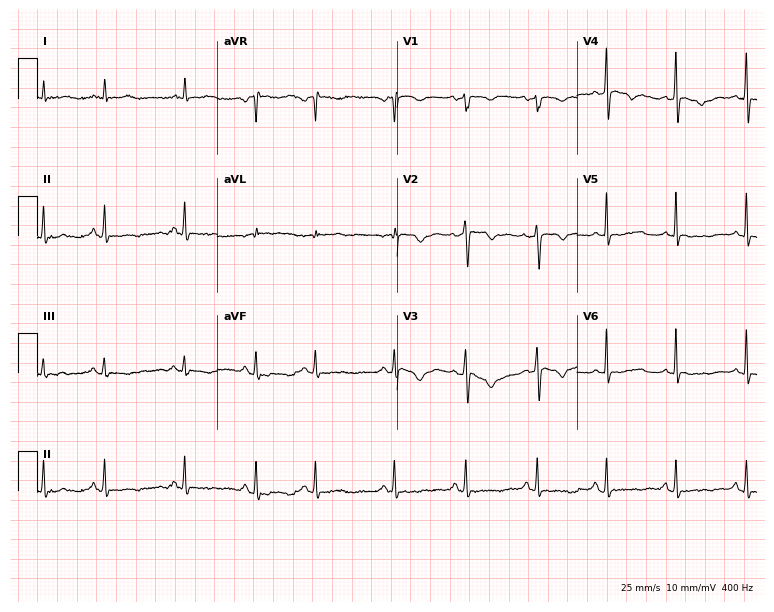
12-lead ECG (7.3-second recording at 400 Hz) from a female patient, 76 years old. Screened for six findings — first-degree AV block, right bundle branch block, left bundle branch block, sinus bradycardia, atrial fibrillation, sinus tachycardia — none is recorded.